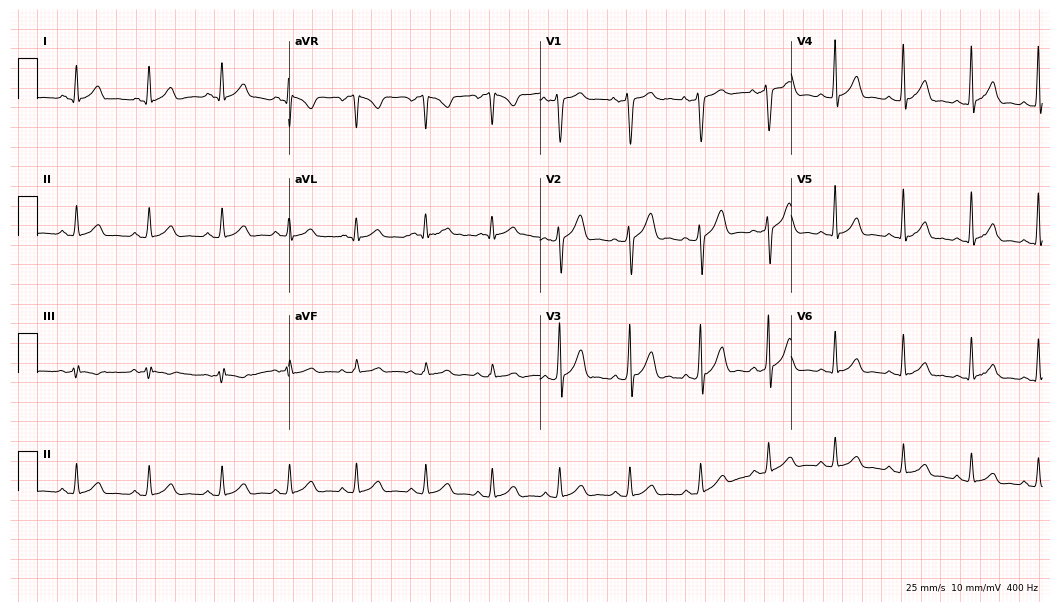
Electrocardiogram, a man, 25 years old. Overall reading on record: normal ECG.